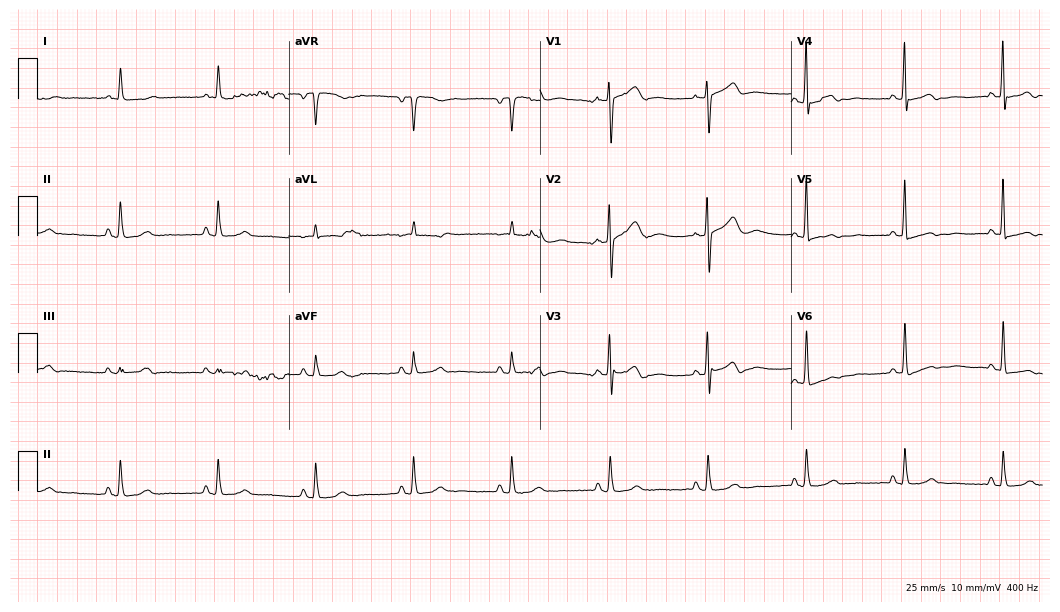
12-lead ECG (10.2-second recording at 400 Hz) from a 65-year-old female patient. Screened for six findings — first-degree AV block, right bundle branch block, left bundle branch block, sinus bradycardia, atrial fibrillation, sinus tachycardia — none is recorded. Findings outside these six are not listed.